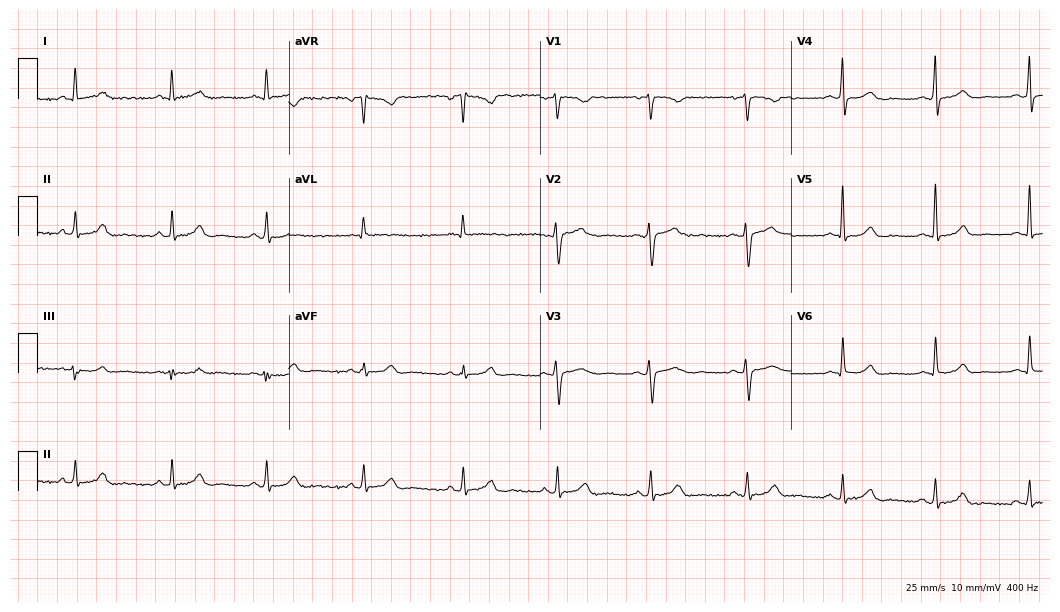
Standard 12-lead ECG recorded from a 50-year-old female (10.2-second recording at 400 Hz). Read as a normal ECG.